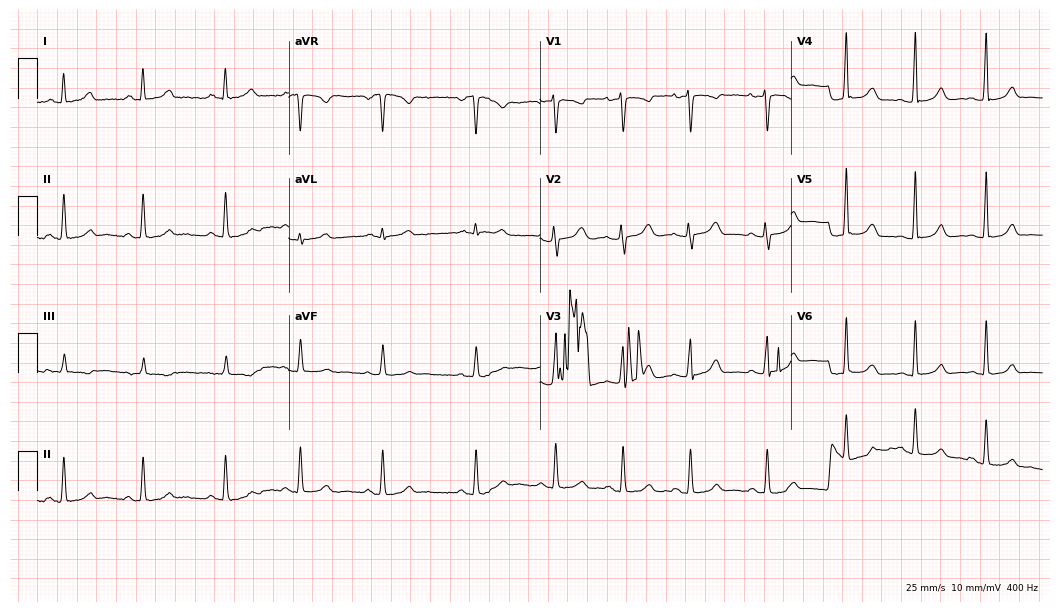
Standard 12-lead ECG recorded from a female, 33 years old. None of these six findings is recorded: first-degree AV block, right bundle branch block (RBBB), left bundle branch block (LBBB), sinus bradycardia, atrial fibrillation (AF), sinus tachycardia. Other findings, if any, are not listed.